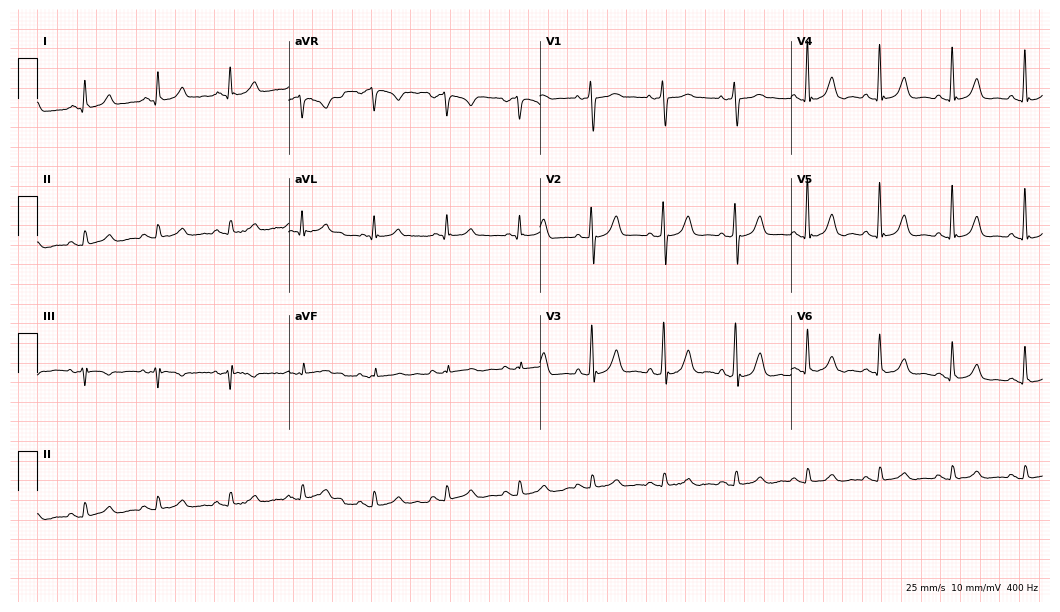
12-lead ECG from a 71-year-old male. Recorded interpretation: within normal limits.